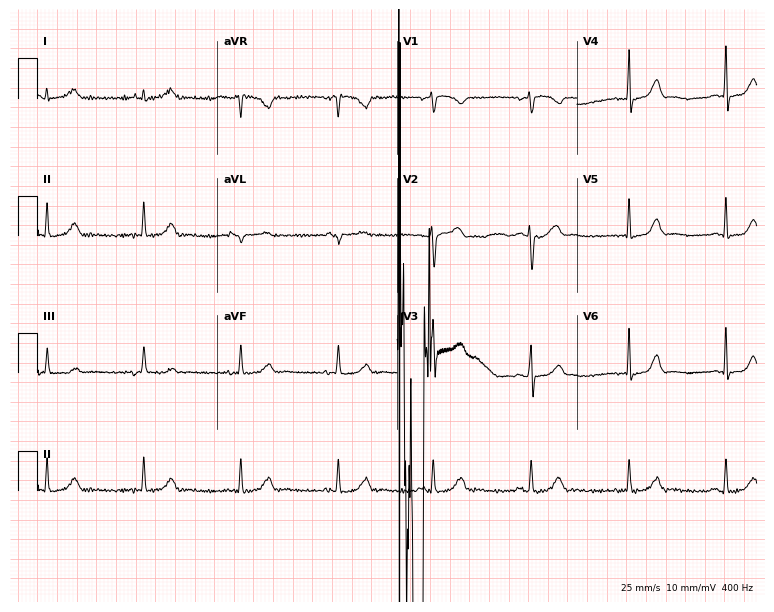
Standard 12-lead ECG recorded from a female patient, 44 years old. None of these six findings is recorded: first-degree AV block, right bundle branch block, left bundle branch block, sinus bradycardia, atrial fibrillation, sinus tachycardia.